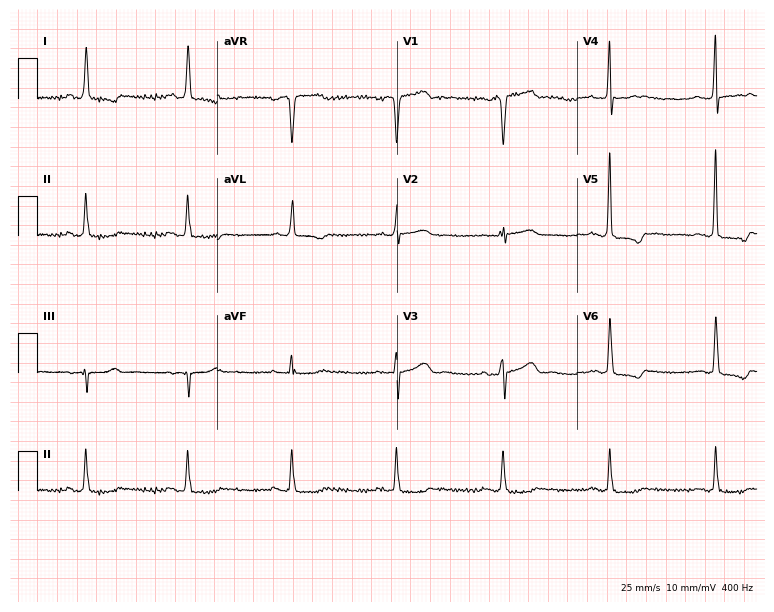
Electrocardiogram, a 62-year-old man. Of the six screened findings (first-degree AV block, right bundle branch block, left bundle branch block, sinus bradycardia, atrial fibrillation, sinus tachycardia), none is recorded. Findings outside these six are not listed.